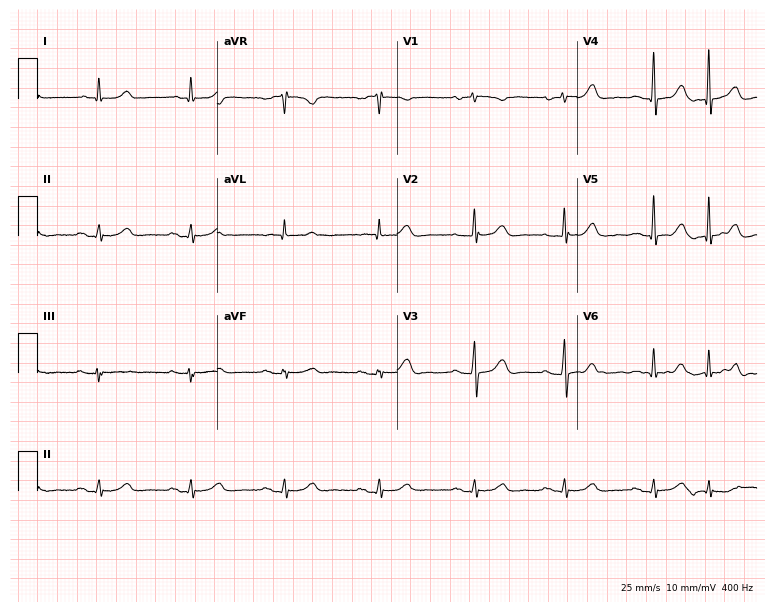
Electrocardiogram (7.3-second recording at 400 Hz), an 85-year-old male. Overall reading on record: normal ECG.